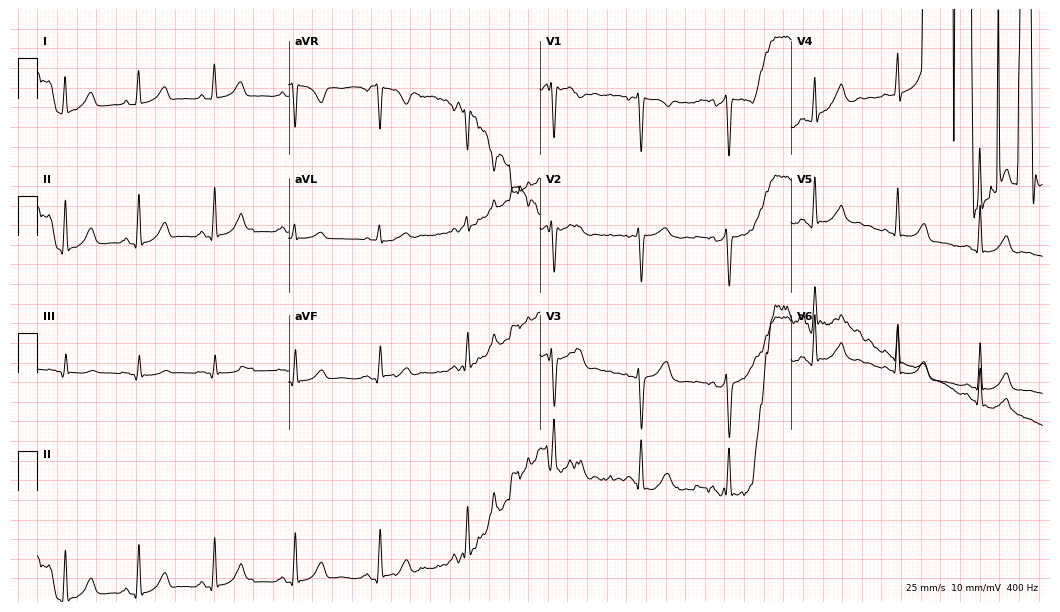
Standard 12-lead ECG recorded from a female, 34 years old (10.2-second recording at 400 Hz). The tracing shows atrial fibrillation.